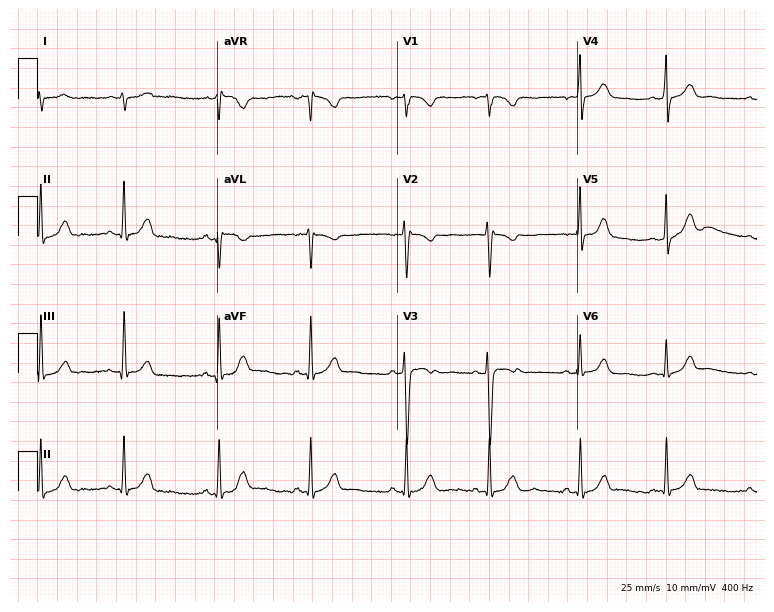
Standard 12-lead ECG recorded from a female, 18 years old (7.3-second recording at 400 Hz). None of these six findings is recorded: first-degree AV block, right bundle branch block, left bundle branch block, sinus bradycardia, atrial fibrillation, sinus tachycardia. Findings outside these six are not listed.